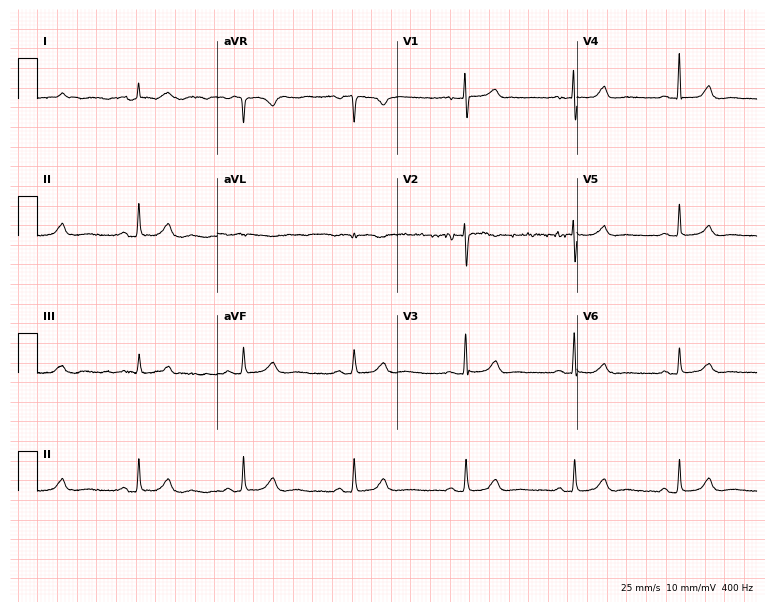
Standard 12-lead ECG recorded from a woman, 70 years old. None of these six findings is recorded: first-degree AV block, right bundle branch block, left bundle branch block, sinus bradycardia, atrial fibrillation, sinus tachycardia. Only these six findings were labelled.